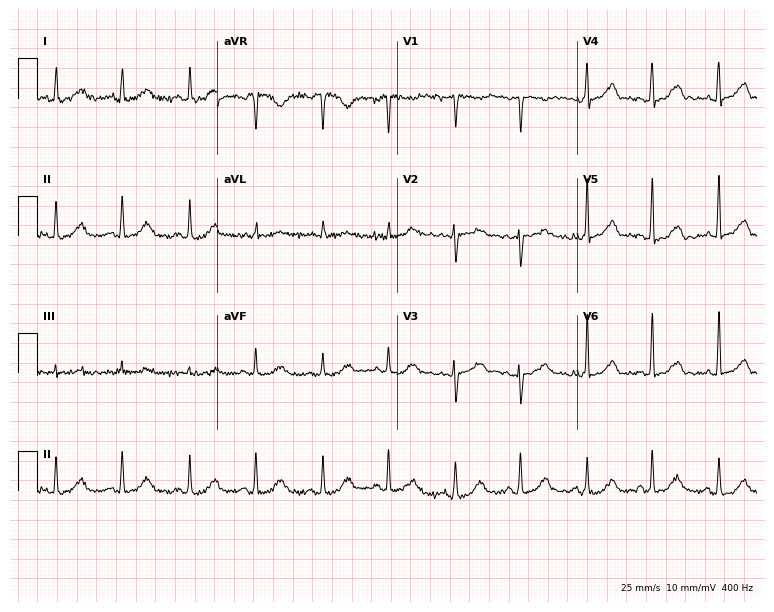
12-lead ECG from a woman, 43 years old. Recorded interpretation: within normal limits.